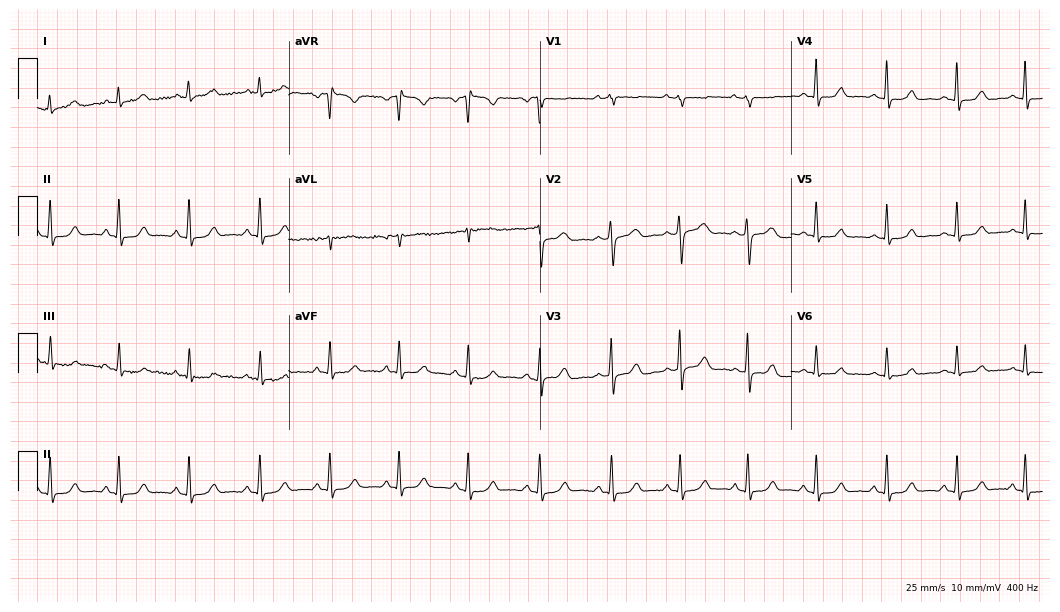
ECG — a 44-year-old female. Screened for six findings — first-degree AV block, right bundle branch block (RBBB), left bundle branch block (LBBB), sinus bradycardia, atrial fibrillation (AF), sinus tachycardia — none is recorded.